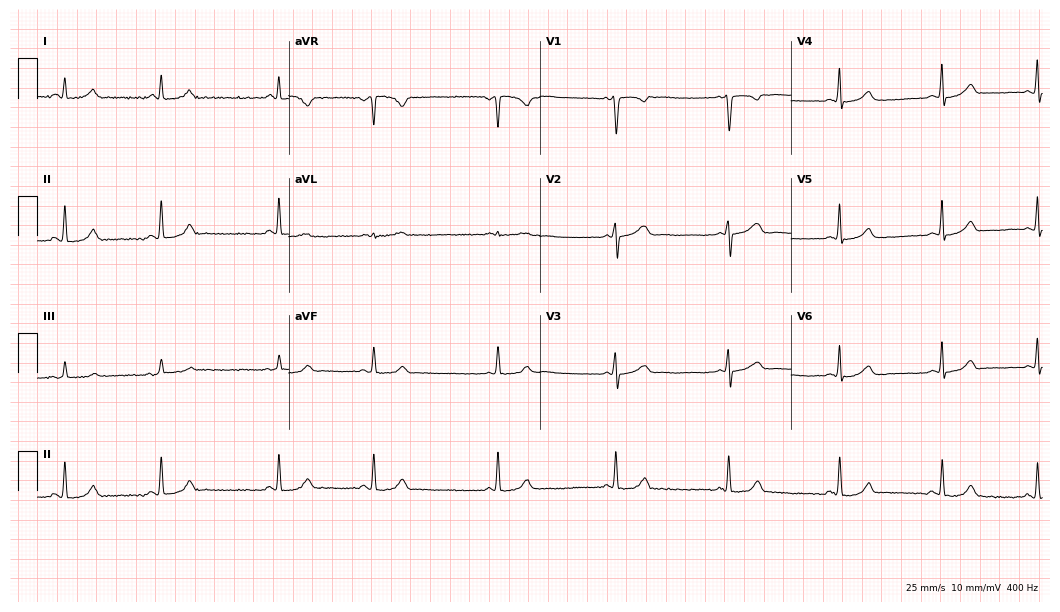
ECG — a female patient, 21 years old. Screened for six findings — first-degree AV block, right bundle branch block (RBBB), left bundle branch block (LBBB), sinus bradycardia, atrial fibrillation (AF), sinus tachycardia — none is recorded.